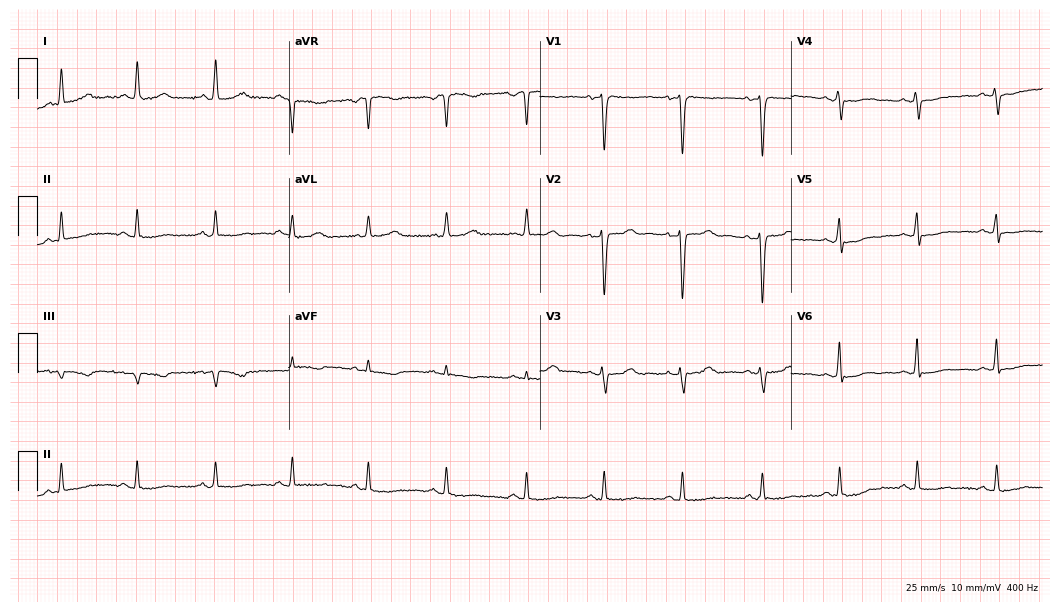
12-lead ECG (10.2-second recording at 400 Hz) from a 45-year-old woman. Labelled as a normal ECG.